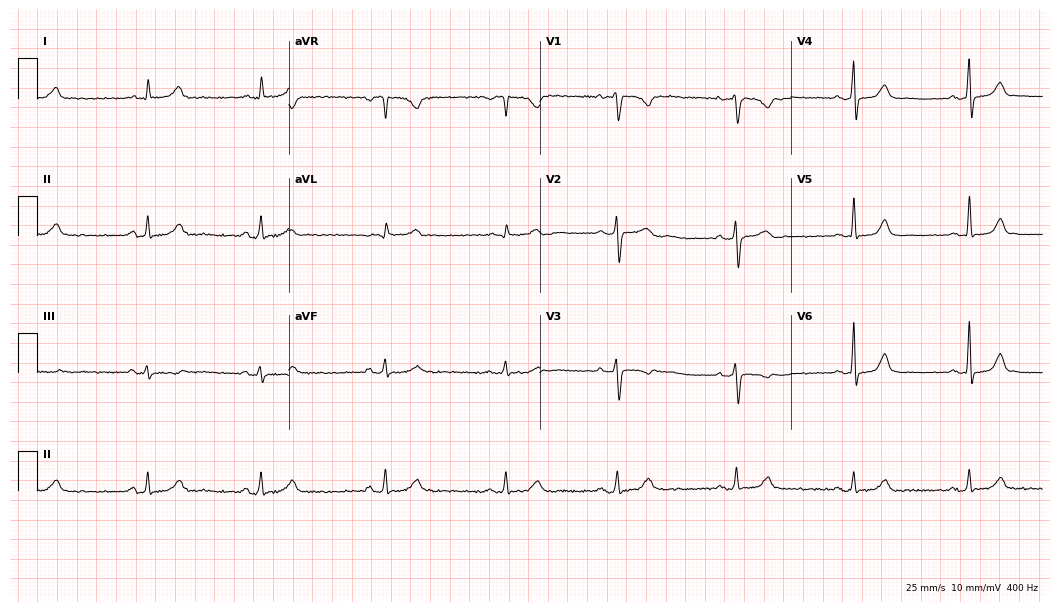
Resting 12-lead electrocardiogram (10.2-second recording at 400 Hz). Patient: a 42-year-old female. Read as a normal ECG.